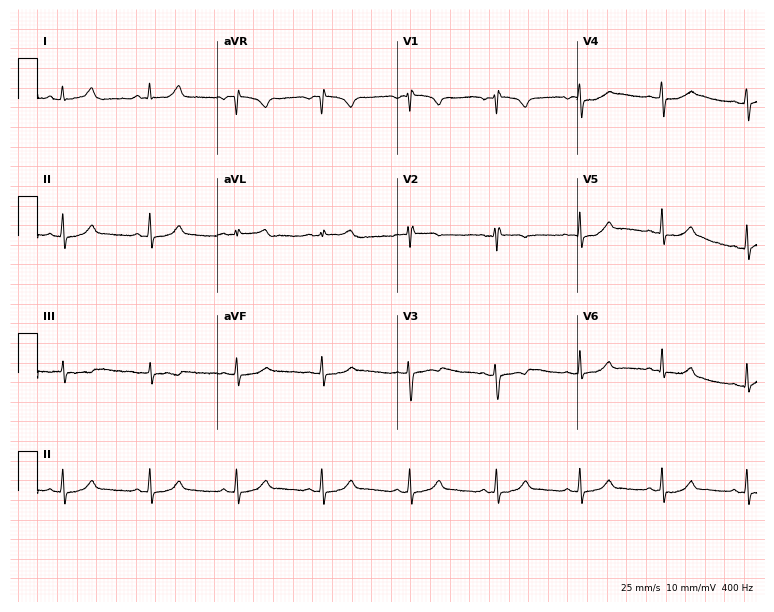
12-lead ECG from a 25-year-old woman. Labelled as a normal ECG.